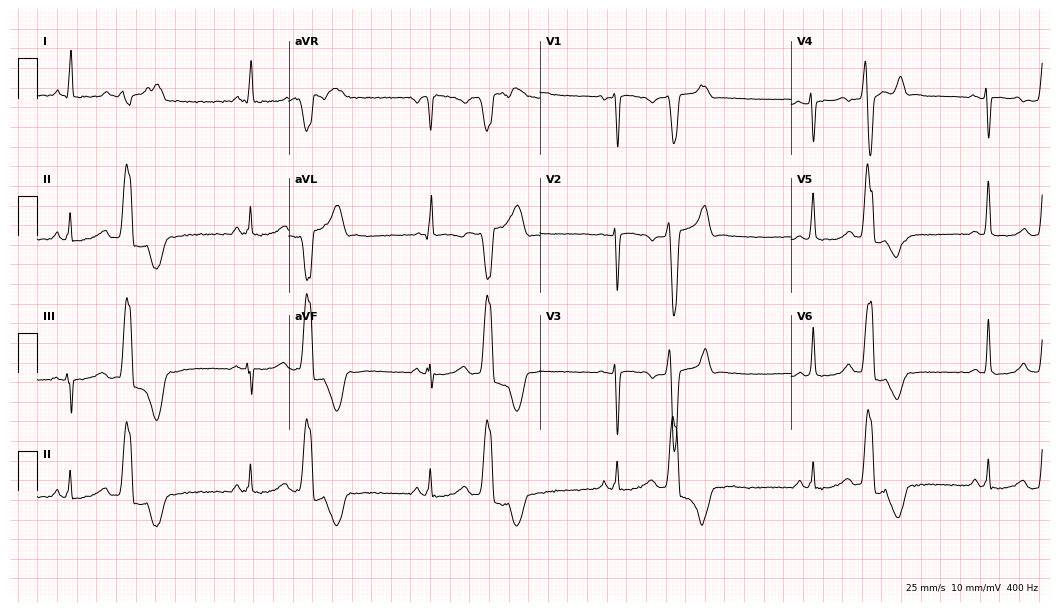
ECG (10.2-second recording at 400 Hz) — a 44-year-old female patient. Screened for six findings — first-degree AV block, right bundle branch block, left bundle branch block, sinus bradycardia, atrial fibrillation, sinus tachycardia — none is recorded. Findings outside these six are not listed.